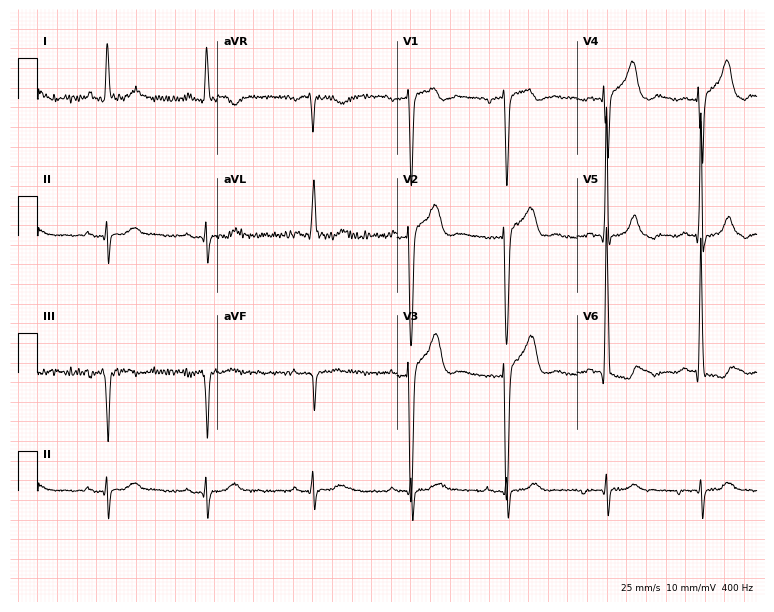
Electrocardiogram, a 70-year-old male. Of the six screened findings (first-degree AV block, right bundle branch block (RBBB), left bundle branch block (LBBB), sinus bradycardia, atrial fibrillation (AF), sinus tachycardia), none is recorded.